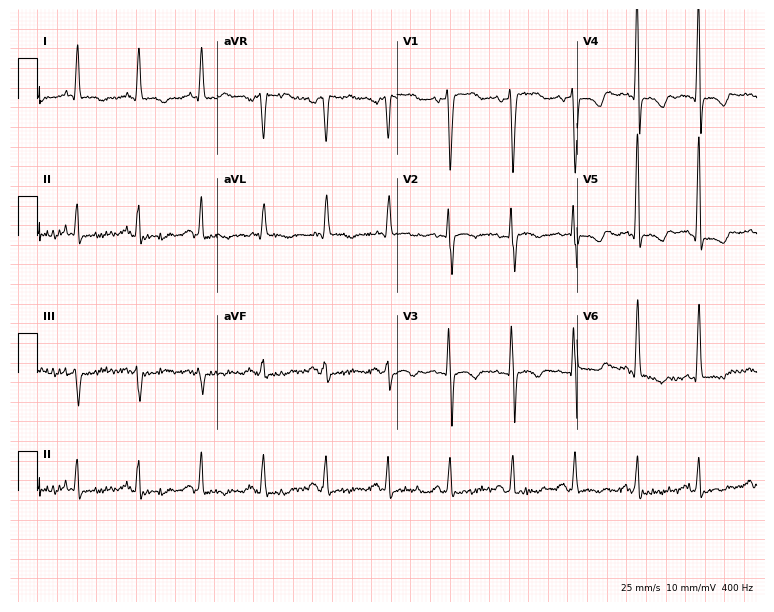
Resting 12-lead electrocardiogram (7.3-second recording at 400 Hz). Patient: a female, 79 years old. None of these six findings is recorded: first-degree AV block, right bundle branch block, left bundle branch block, sinus bradycardia, atrial fibrillation, sinus tachycardia.